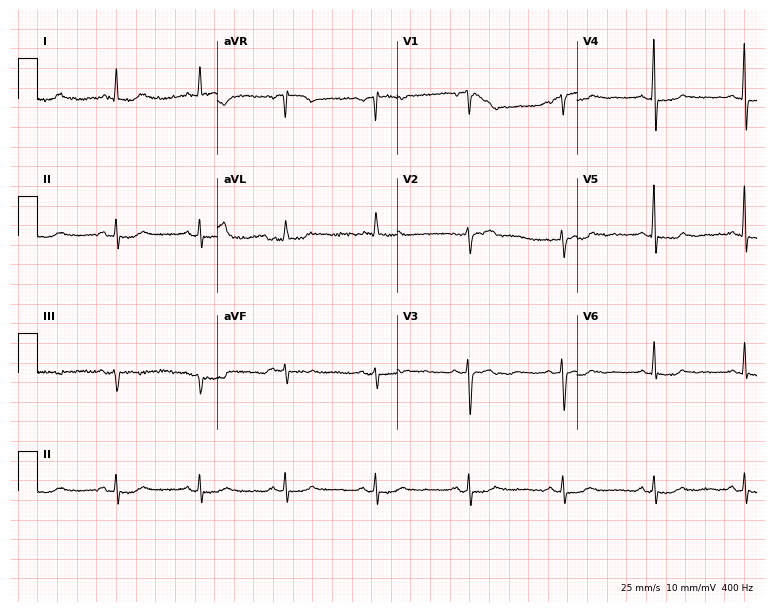
12-lead ECG from a 51-year-old female. Screened for six findings — first-degree AV block, right bundle branch block, left bundle branch block, sinus bradycardia, atrial fibrillation, sinus tachycardia — none is recorded. Only these six findings were labelled.